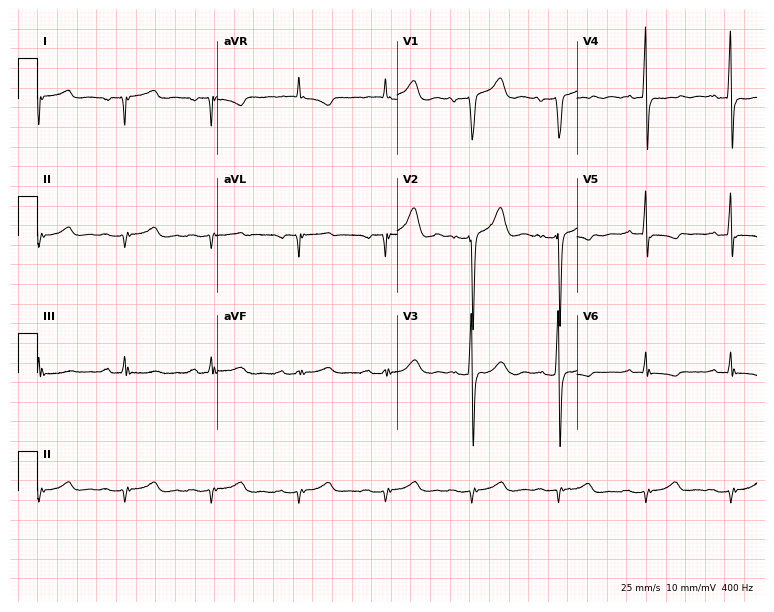
12-lead ECG from an 84-year-old male (7.3-second recording at 400 Hz). No first-degree AV block, right bundle branch block (RBBB), left bundle branch block (LBBB), sinus bradycardia, atrial fibrillation (AF) or sinus tachycardia recorded for this tracing. Findings outside these six are not listed.